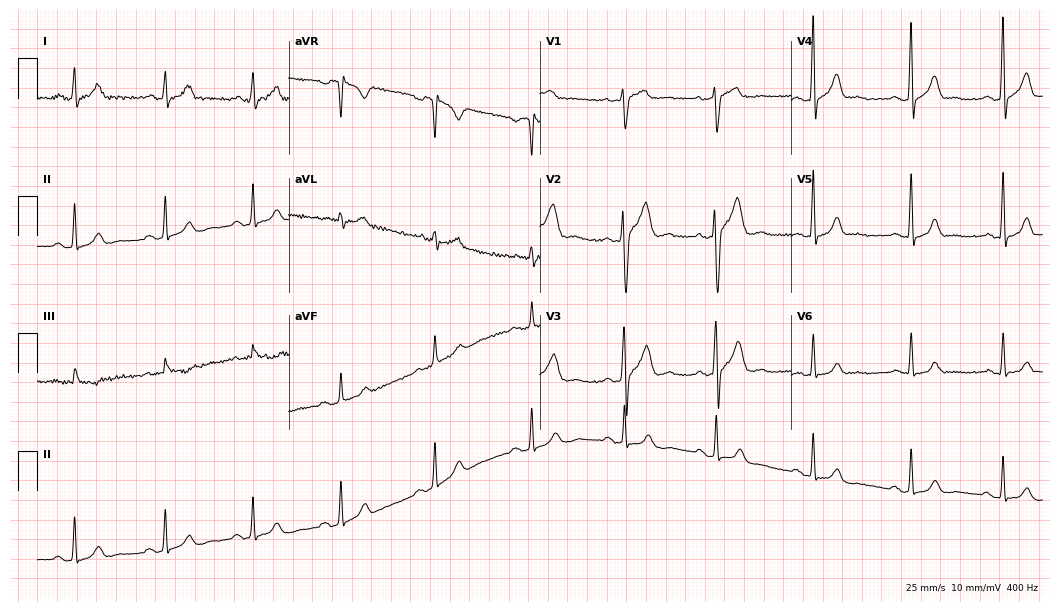
12-lead ECG from a male, 32 years old (10.2-second recording at 400 Hz). Recorded interpretation: within normal limits.